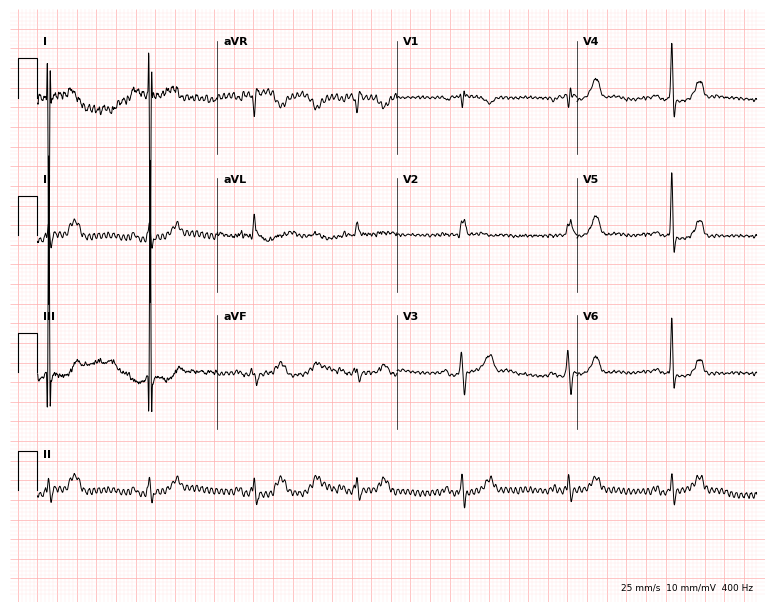
12-lead ECG from a female patient, 51 years old. Screened for six findings — first-degree AV block, right bundle branch block, left bundle branch block, sinus bradycardia, atrial fibrillation, sinus tachycardia — none is recorded. Only these six findings were labelled.